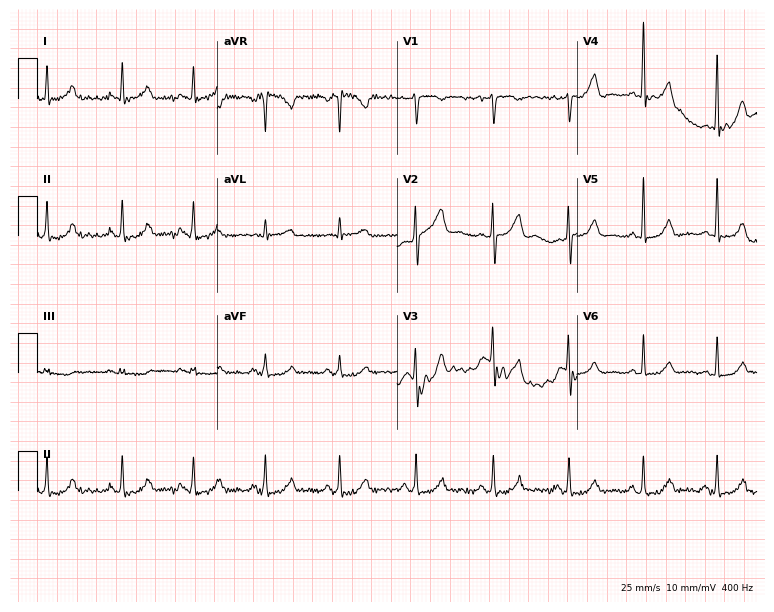
Electrocardiogram, a 46-year-old female. Of the six screened findings (first-degree AV block, right bundle branch block, left bundle branch block, sinus bradycardia, atrial fibrillation, sinus tachycardia), none is recorded. Findings outside these six are not listed.